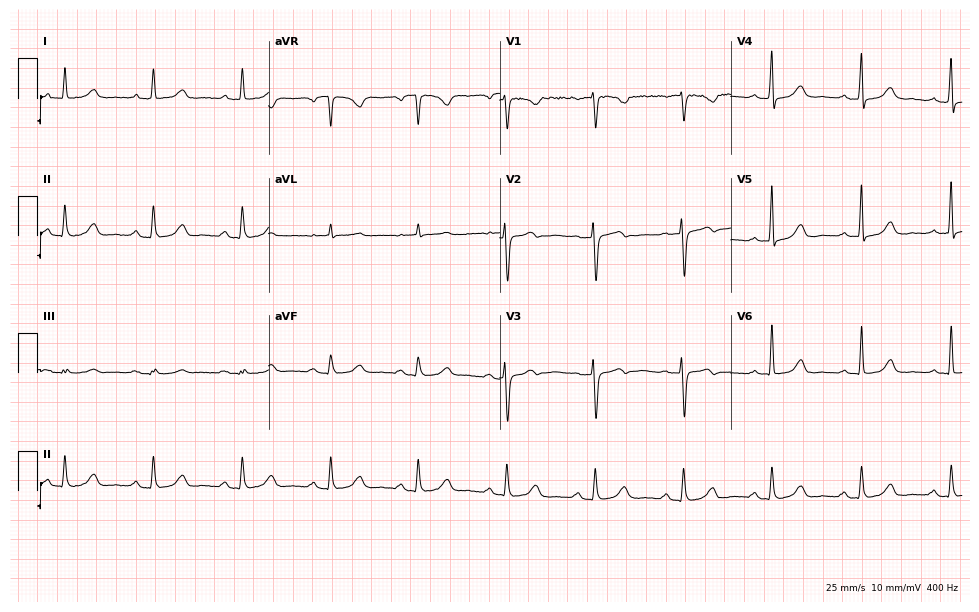
12-lead ECG from a 57-year-old woman. Screened for six findings — first-degree AV block, right bundle branch block, left bundle branch block, sinus bradycardia, atrial fibrillation, sinus tachycardia — none is recorded. Findings outside these six are not listed.